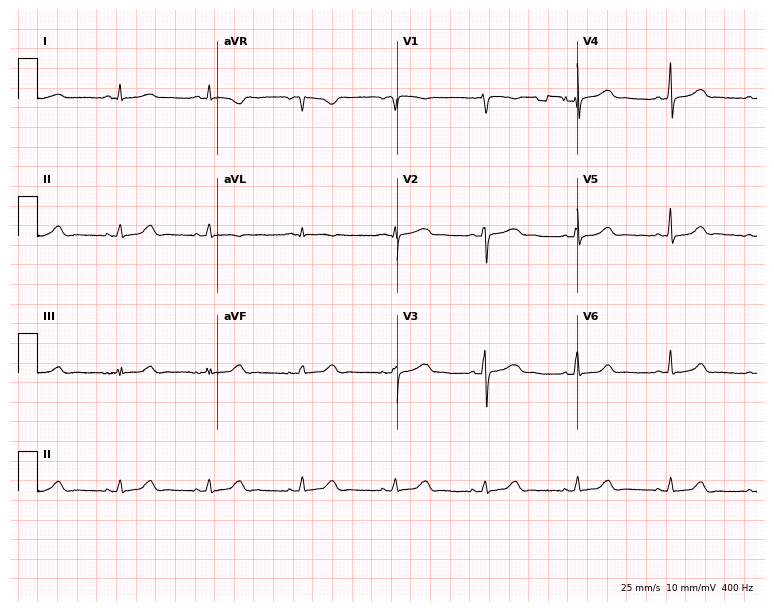
ECG (7.3-second recording at 400 Hz) — a female patient, 43 years old. Labelled as a normal ECG.